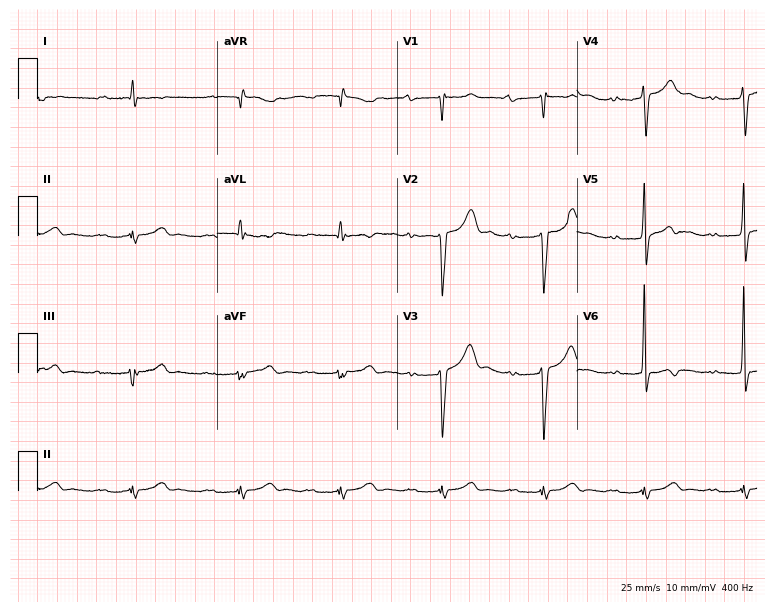
ECG — a 42-year-old man. Labelled as a normal ECG.